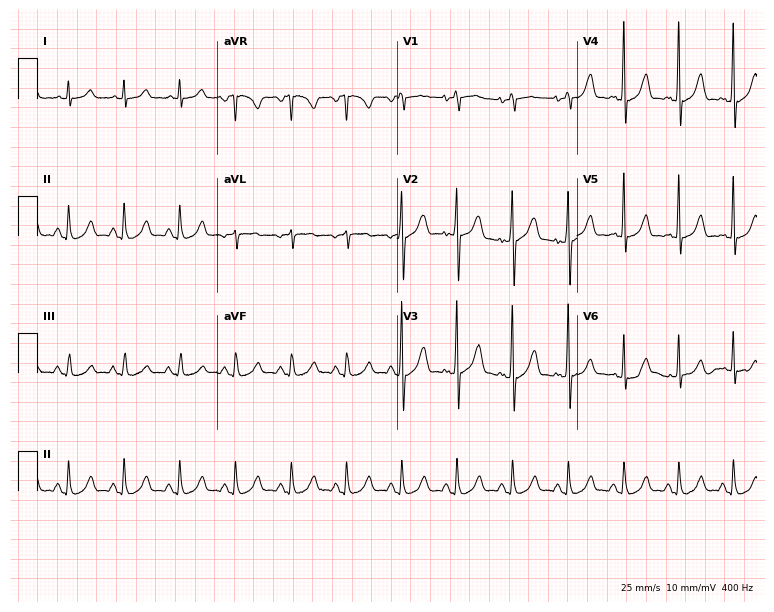
Electrocardiogram (7.3-second recording at 400 Hz), a male patient, 60 years old. Of the six screened findings (first-degree AV block, right bundle branch block (RBBB), left bundle branch block (LBBB), sinus bradycardia, atrial fibrillation (AF), sinus tachycardia), none is recorded.